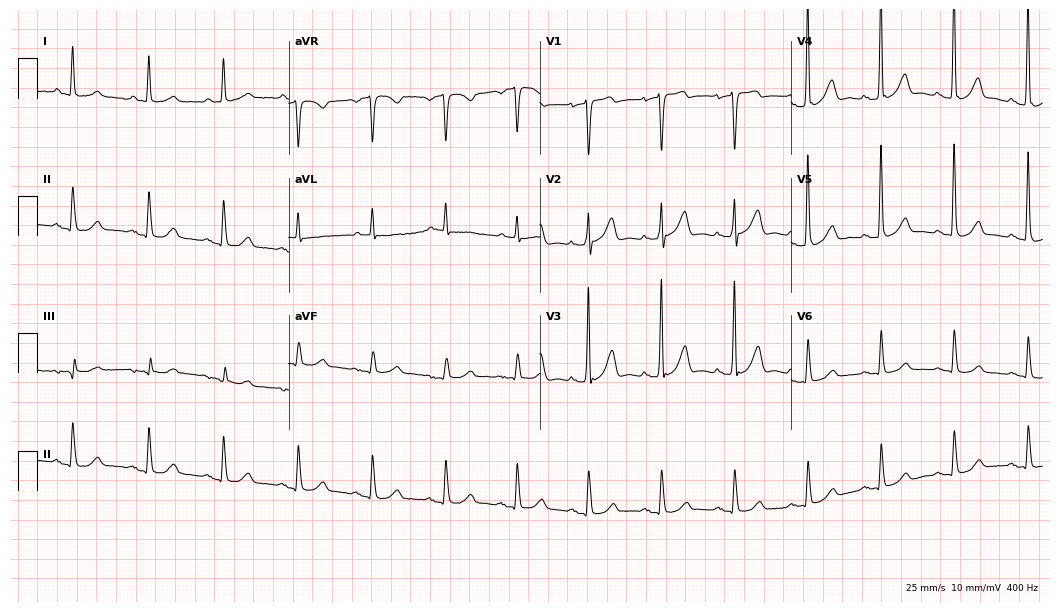
Electrocardiogram (10.2-second recording at 400 Hz), a 74-year-old female. Overall reading on record: normal ECG.